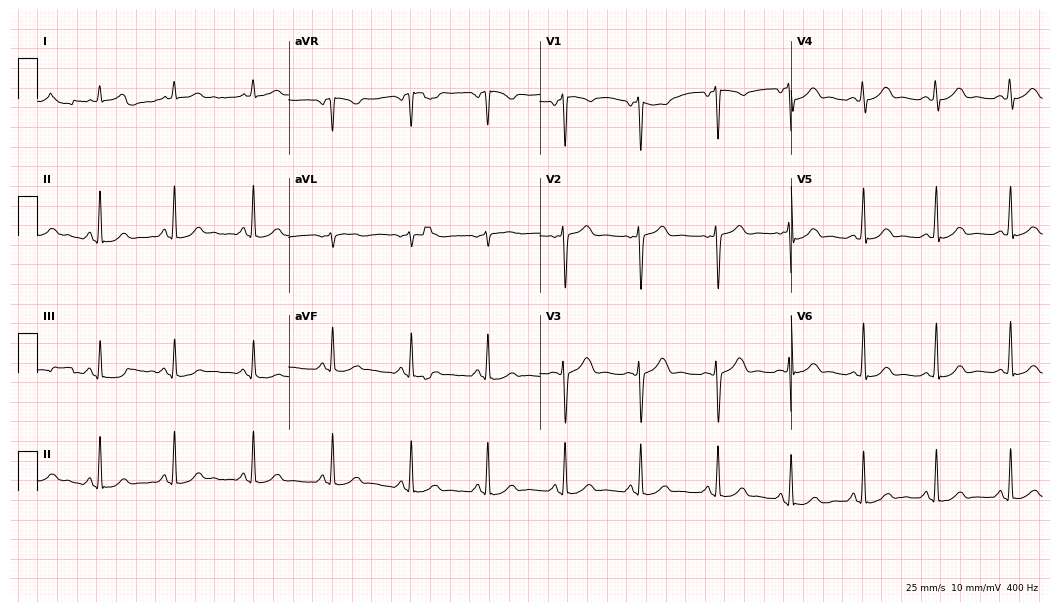
12-lead ECG from a 37-year-old woman. Labelled as a normal ECG.